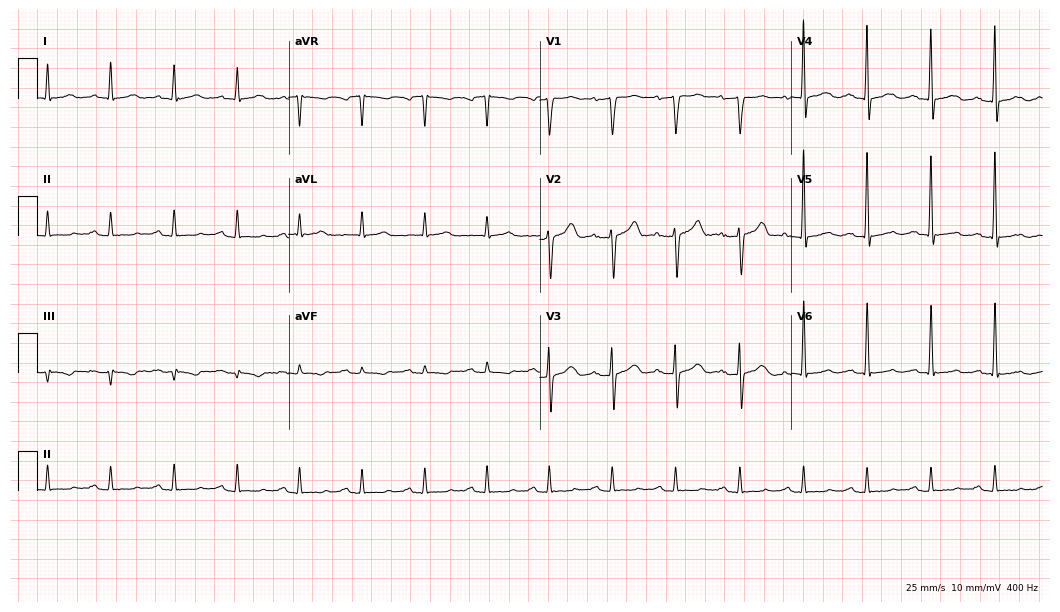
ECG (10.2-second recording at 400 Hz) — a 69-year-old man. Screened for six findings — first-degree AV block, right bundle branch block, left bundle branch block, sinus bradycardia, atrial fibrillation, sinus tachycardia — none is recorded. Other findings, if any, are not listed.